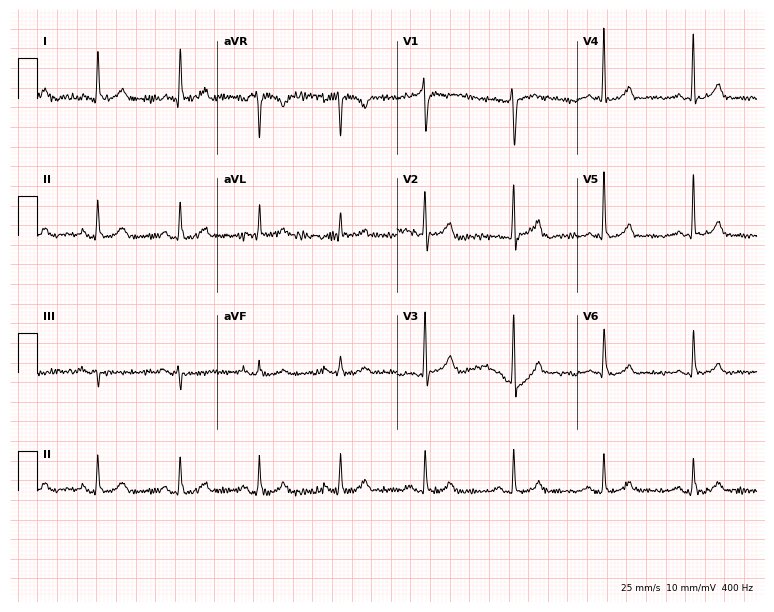
12-lead ECG from a man, 69 years old (7.3-second recording at 400 Hz). Recorded interpretation: within normal limits.